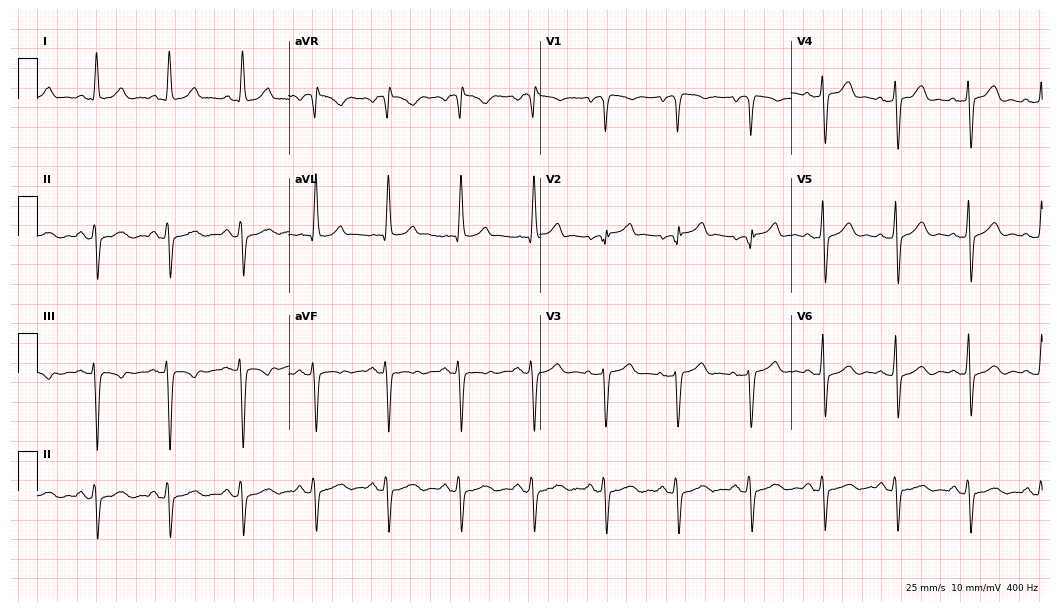
Standard 12-lead ECG recorded from a 67-year-old woman (10.2-second recording at 400 Hz). None of these six findings is recorded: first-degree AV block, right bundle branch block, left bundle branch block, sinus bradycardia, atrial fibrillation, sinus tachycardia. Only these six findings were labelled.